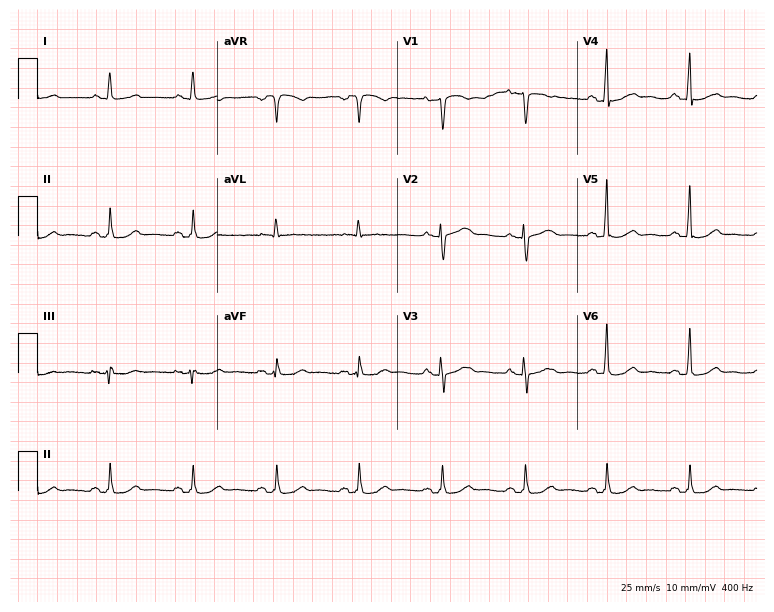
12-lead ECG from a female patient, 56 years old. Screened for six findings — first-degree AV block, right bundle branch block (RBBB), left bundle branch block (LBBB), sinus bradycardia, atrial fibrillation (AF), sinus tachycardia — none is recorded. Findings outside these six are not listed.